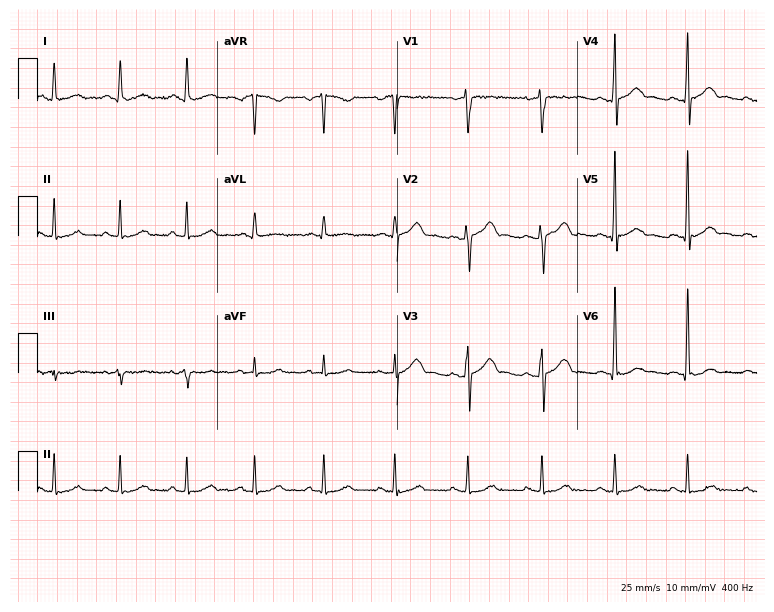
12-lead ECG (7.3-second recording at 400 Hz) from a man, 37 years old. Screened for six findings — first-degree AV block, right bundle branch block, left bundle branch block, sinus bradycardia, atrial fibrillation, sinus tachycardia — none is recorded.